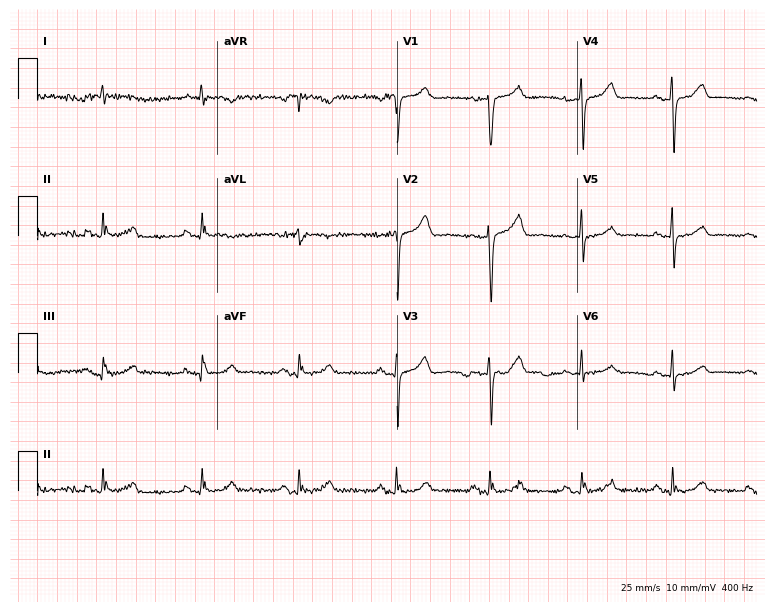
12-lead ECG from a 74-year-old man. No first-degree AV block, right bundle branch block (RBBB), left bundle branch block (LBBB), sinus bradycardia, atrial fibrillation (AF) or sinus tachycardia recorded for this tracing.